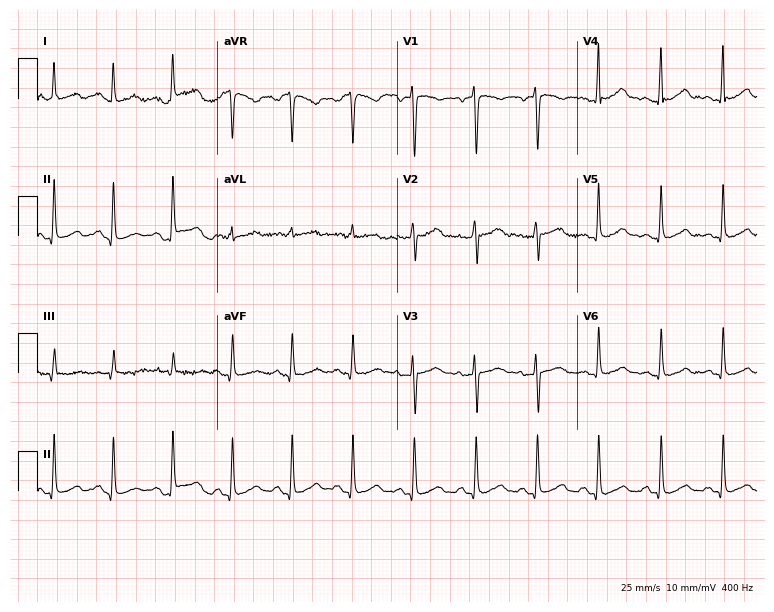
ECG (7.3-second recording at 400 Hz) — a woman, 36 years old. Labelled as a normal ECG.